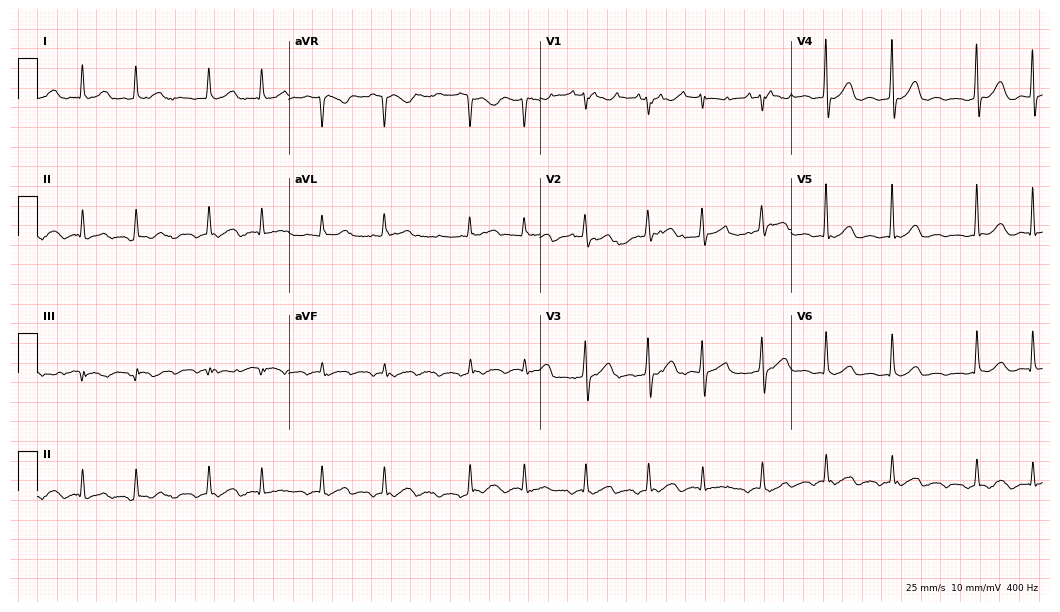
12-lead ECG (10.2-second recording at 400 Hz) from an 84-year-old female patient. Screened for six findings — first-degree AV block, right bundle branch block (RBBB), left bundle branch block (LBBB), sinus bradycardia, atrial fibrillation (AF), sinus tachycardia — none is recorded.